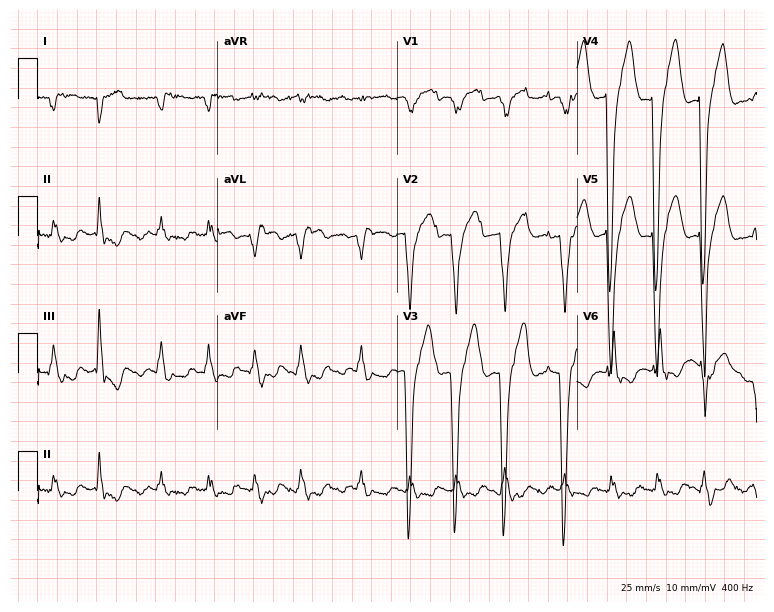
12-lead ECG (7.3-second recording at 400 Hz) from a male patient, 36 years old. Findings include left bundle branch block (LBBB), sinus tachycardia (a sinus rate of 100 beats per minute or more).